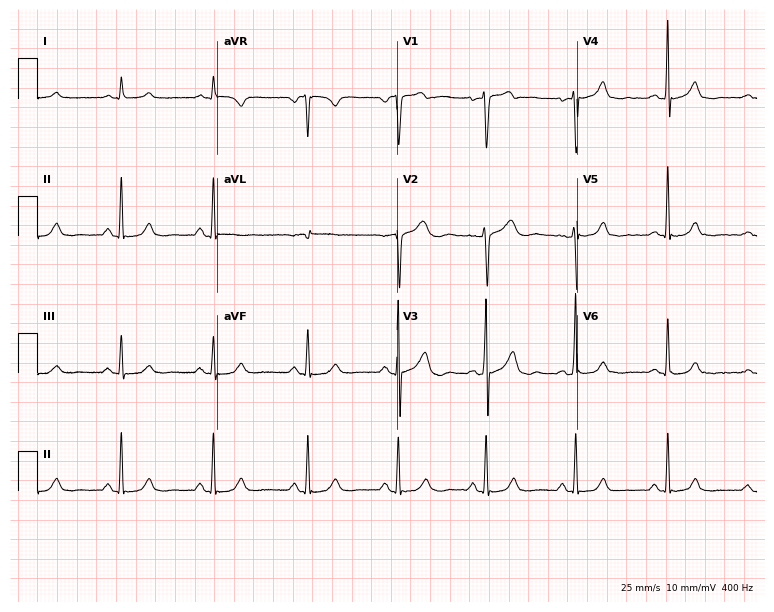
12-lead ECG from a 46-year-old male. Screened for six findings — first-degree AV block, right bundle branch block, left bundle branch block, sinus bradycardia, atrial fibrillation, sinus tachycardia — none is recorded. Findings outside these six are not listed.